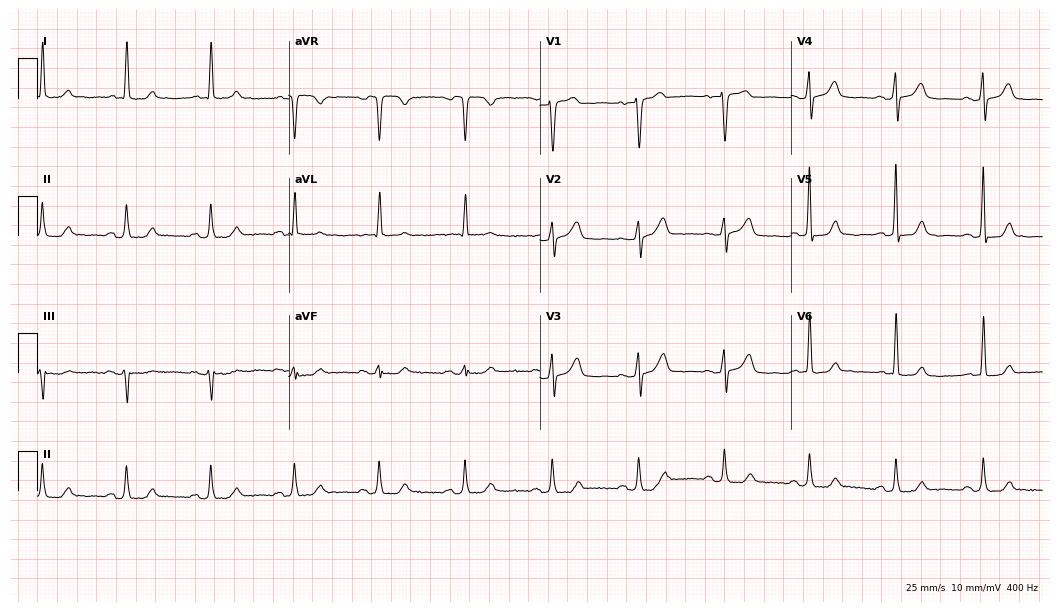
Resting 12-lead electrocardiogram. Patient: a 75-year-old female. Read as a normal ECG.